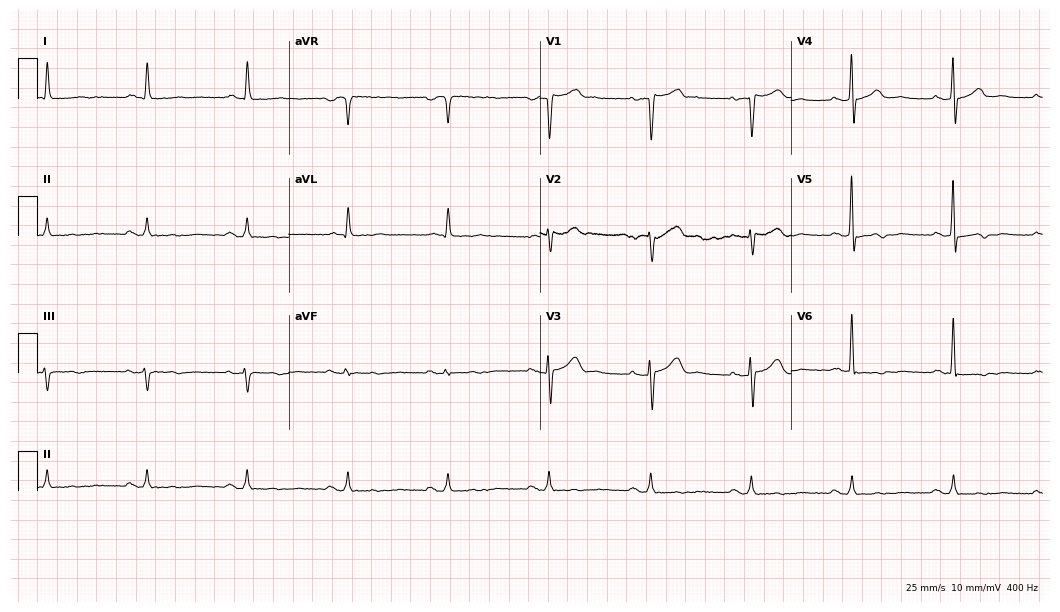
Resting 12-lead electrocardiogram. Patient: a 77-year-old man. None of these six findings is recorded: first-degree AV block, right bundle branch block, left bundle branch block, sinus bradycardia, atrial fibrillation, sinus tachycardia.